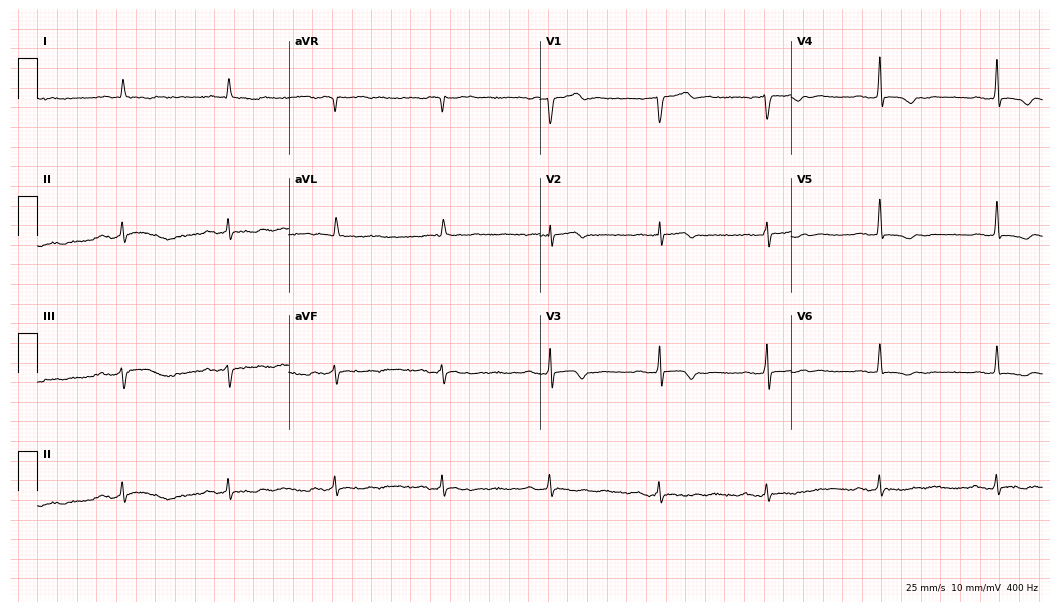
ECG (10.2-second recording at 400 Hz) — a man, 80 years old. Screened for six findings — first-degree AV block, right bundle branch block, left bundle branch block, sinus bradycardia, atrial fibrillation, sinus tachycardia — none is recorded. Findings outside these six are not listed.